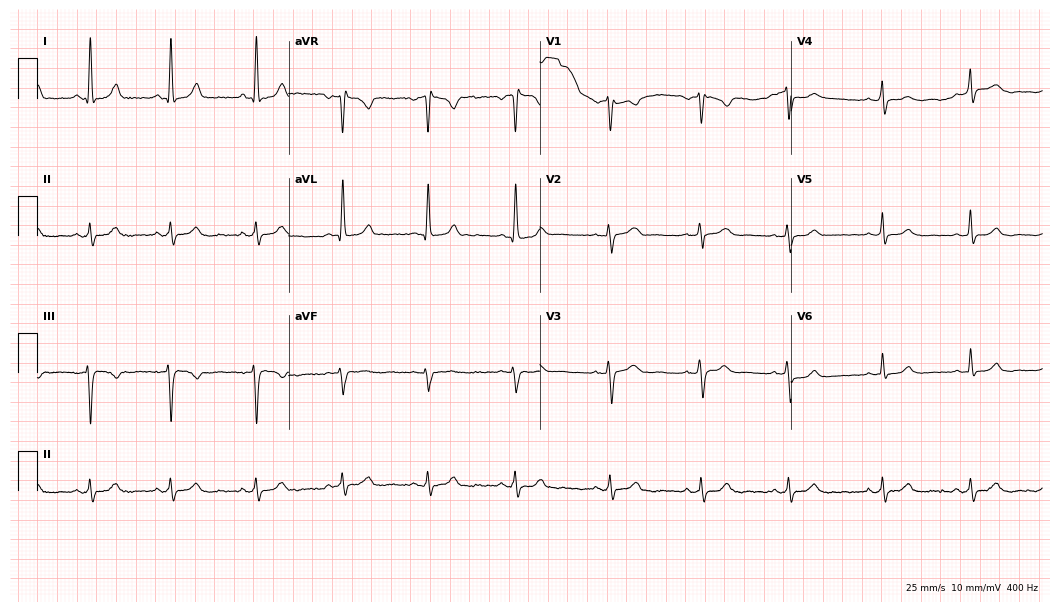
Resting 12-lead electrocardiogram (10.2-second recording at 400 Hz). Patient: a 40-year-old female. Read as a normal ECG.